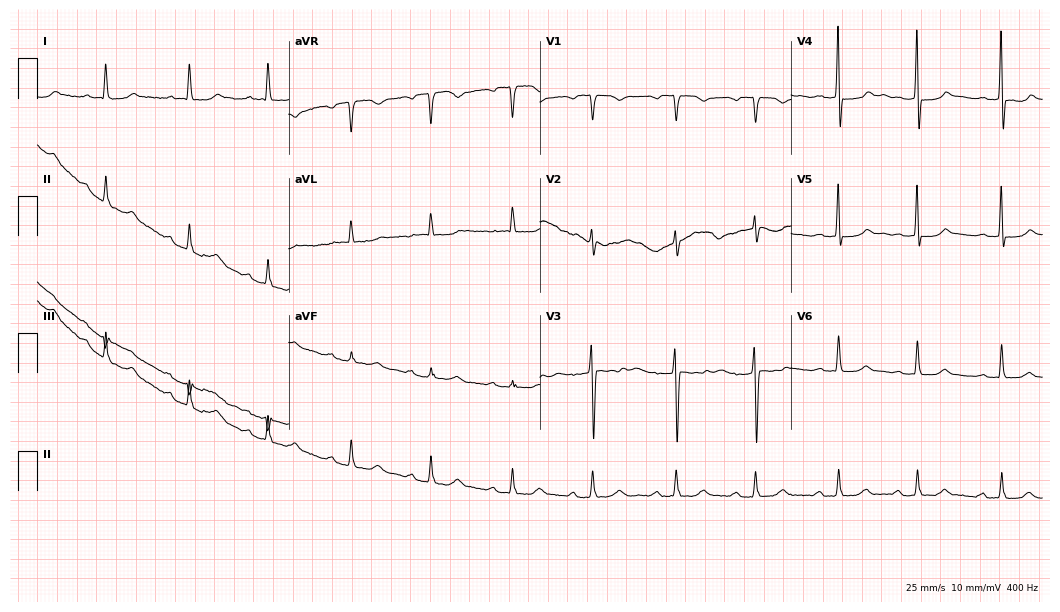
Standard 12-lead ECG recorded from a female patient, 74 years old. None of these six findings is recorded: first-degree AV block, right bundle branch block, left bundle branch block, sinus bradycardia, atrial fibrillation, sinus tachycardia. Findings outside these six are not listed.